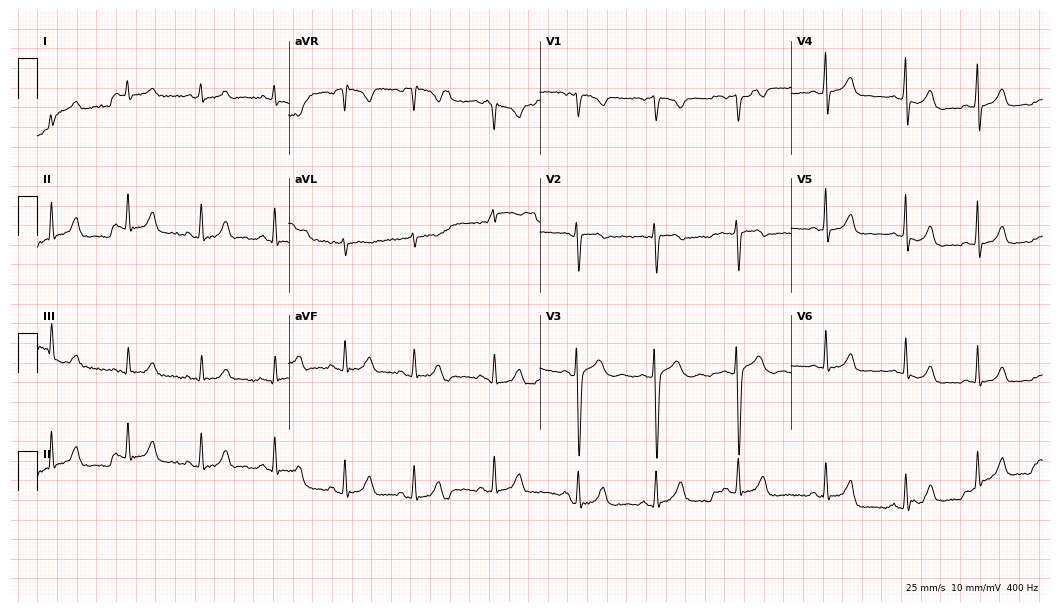
ECG — a 20-year-old female. Labelled as a normal ECG.